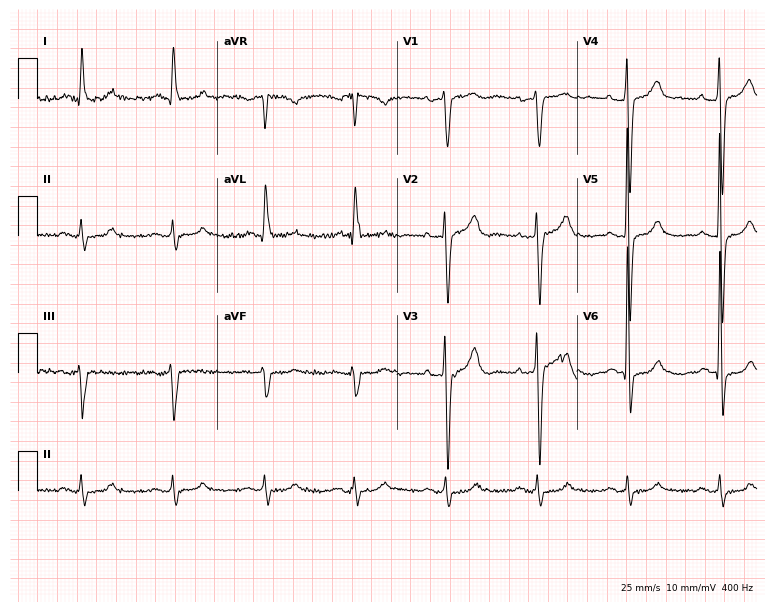
Resting 12-lead electrocardiogram. Patient: a 72-year-old male. None of these six findings is recorded: first-degree AV block, right bundle branch block, left bundle branch block, sinus bradycardia, atrial fibrillation, sinus tachycardia. Findings outside these six are not listed.